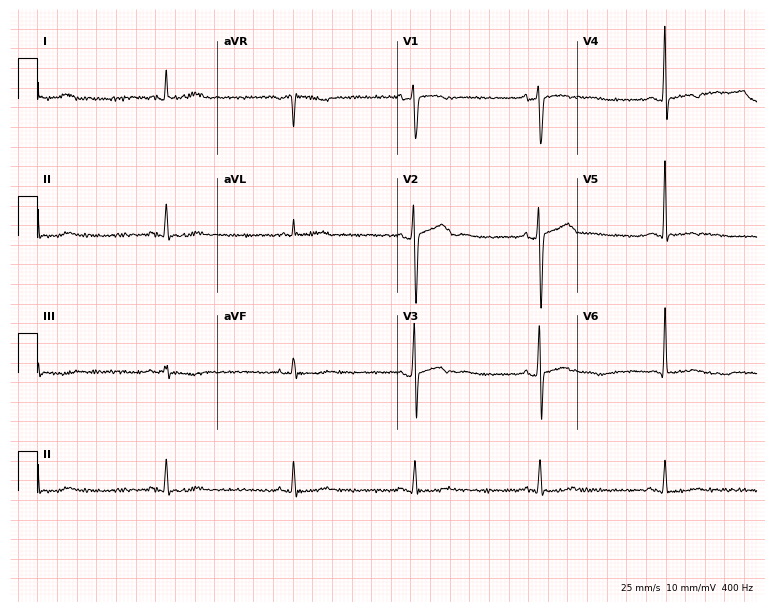
Electrocardiogram, a 55-year-old man. Interpretation includes sinus bradycardia (a sinus rate of 50 beats per minute or less).